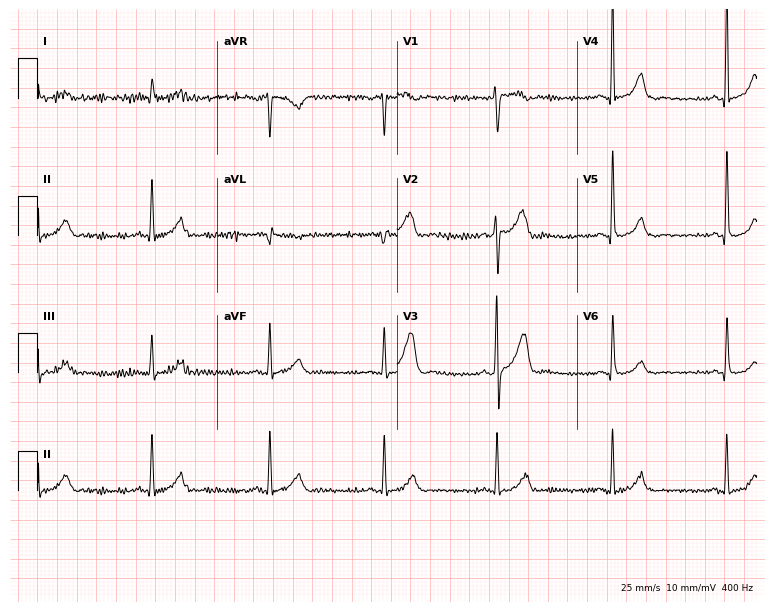
Resting 12-lead electrocardiogram. Patient: a 59-year-old man. None of these six findings is recorded: first-degree AV block, right bundle branch block, left bundle branch block, sinus bradycardia, atrial fibrillation, sinus tachycardia. Findings outside these six are not listed.